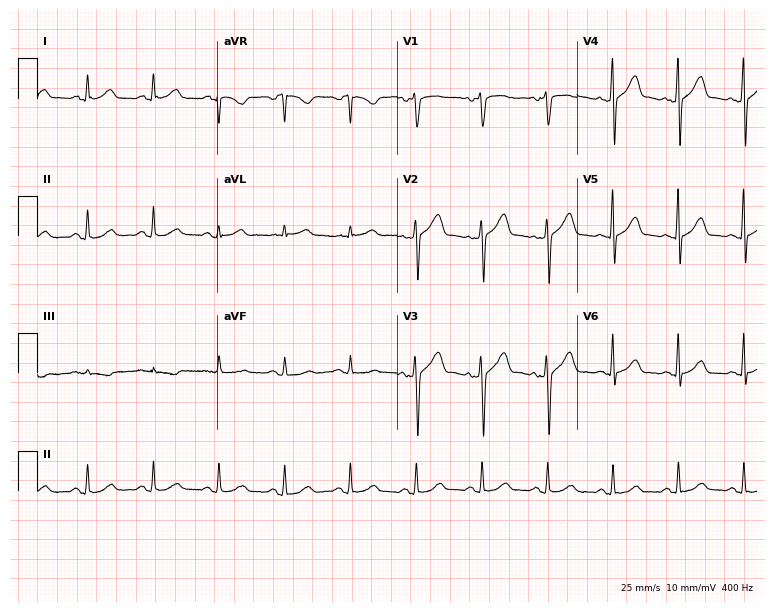
12-lead ECG from a male patient, 50 years old (7.3-second recording at 400 Hz). Recorded interpretation: within normal limits.